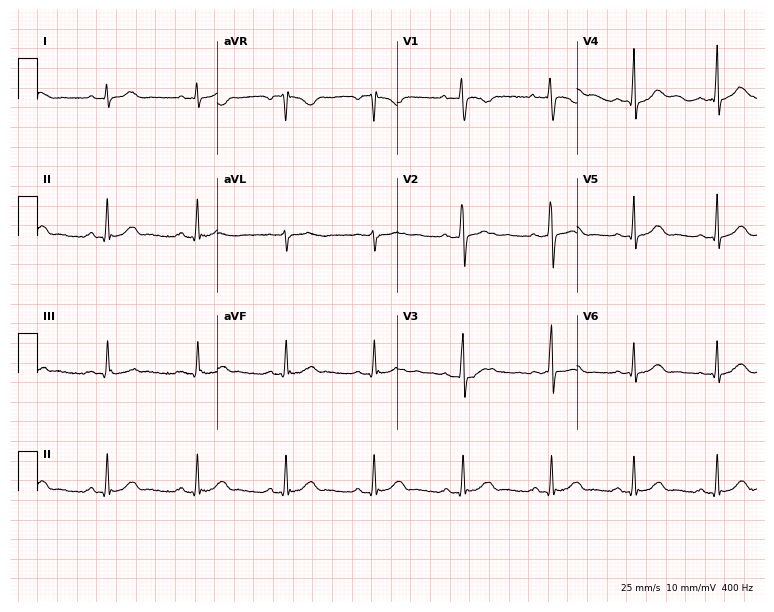
Standard 12-lead ECG recorded from a female patient, 26 years old (7.3-second recording at 400 Hz). Read as a normal ECG.